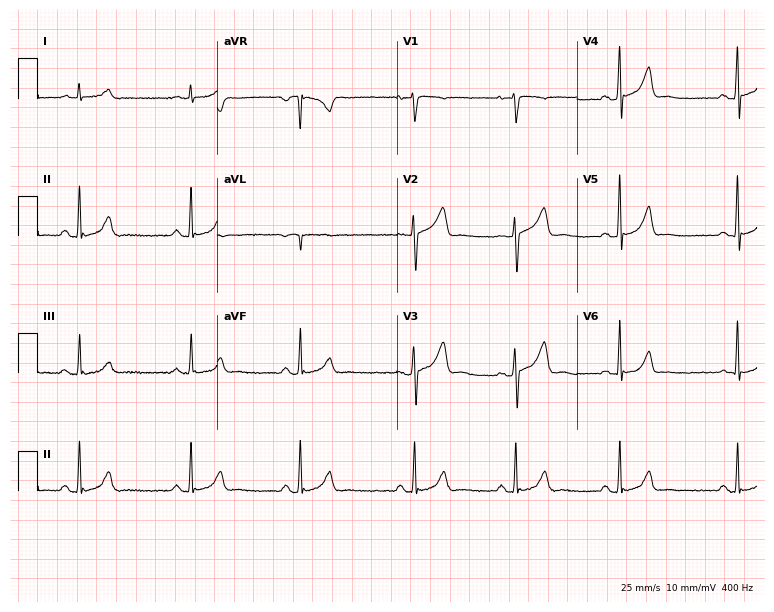
Resting 12-lead electrocardiogram (7.3-second recording at 400 Hz). Patient: a 36-year-old female. Read as a normal ECG.